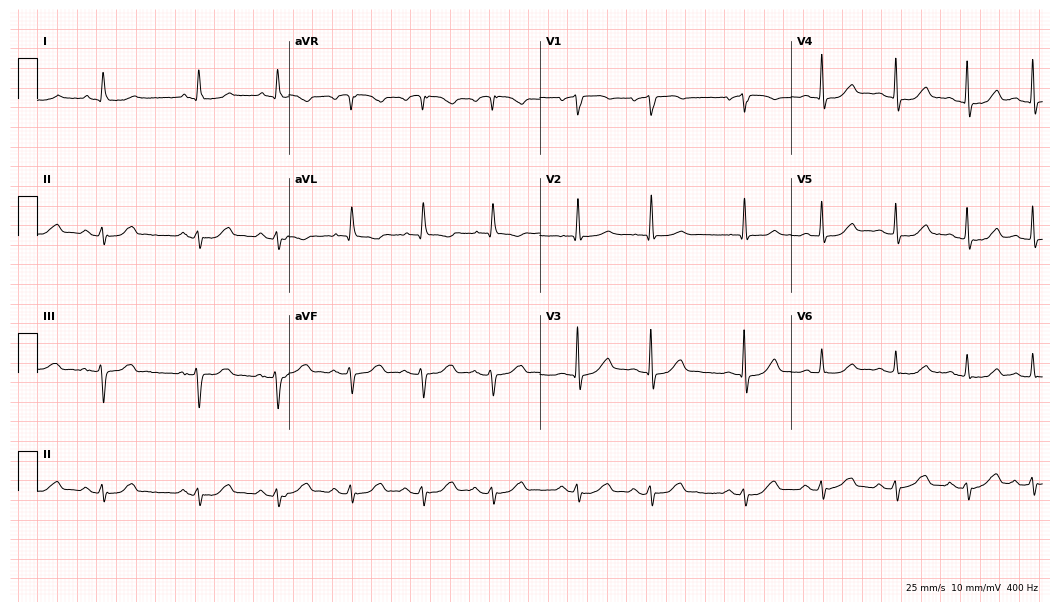
Electrocardiogram (10.2-second recording at 400 Hz), an 84-year-old man. Overall reading on record: normal ECG.